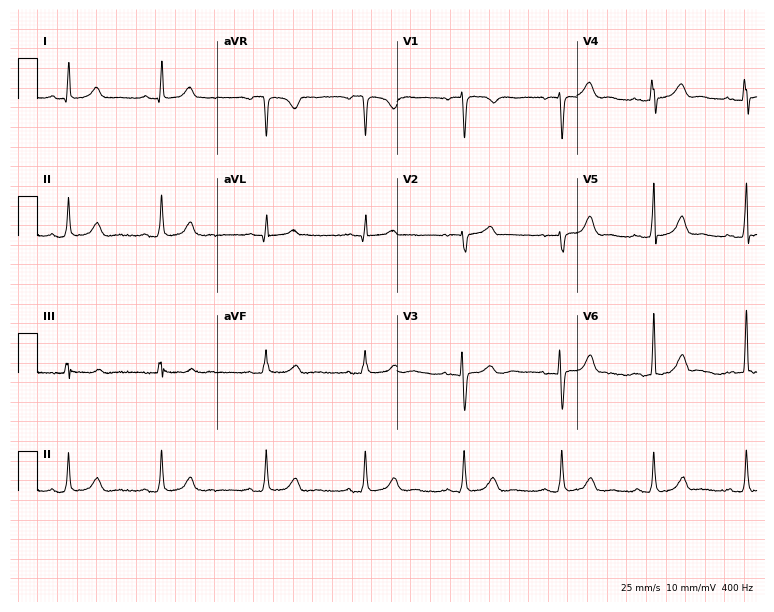
Electrocardiogram (7.3-second recording at 400 Hz), a 40-year-old female patient. Overall reading on record: normal ECG.